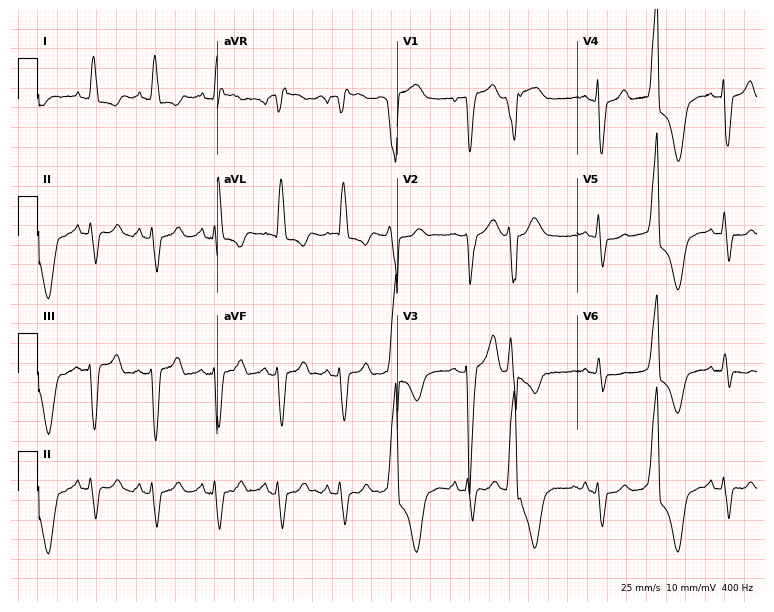
Resting 12-lead electrocardiogram (7.3-second recording at 400 Hz). Patient: an 82-year-old female. The tracing shows left bundle branch block.